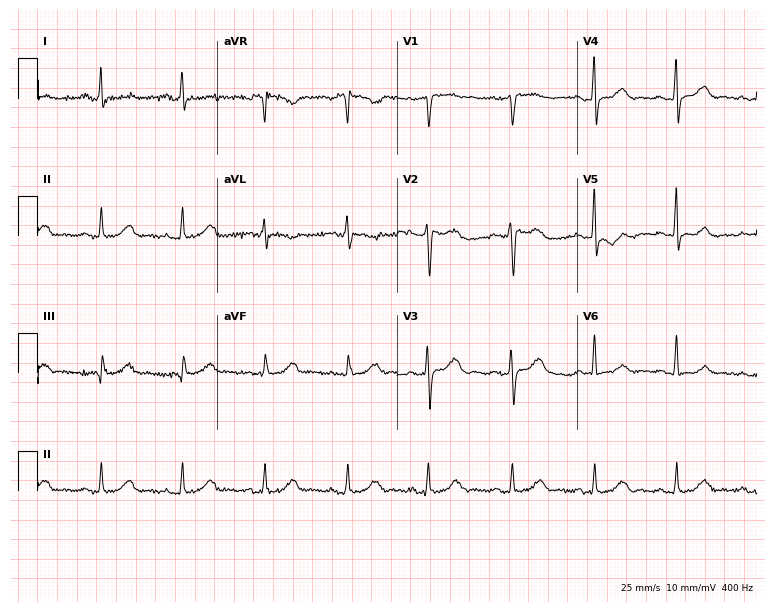
12-lead ECG from a 46-year-old female (7.3-second recording at 400 Hz). Recorded interpretation: within normal limits.